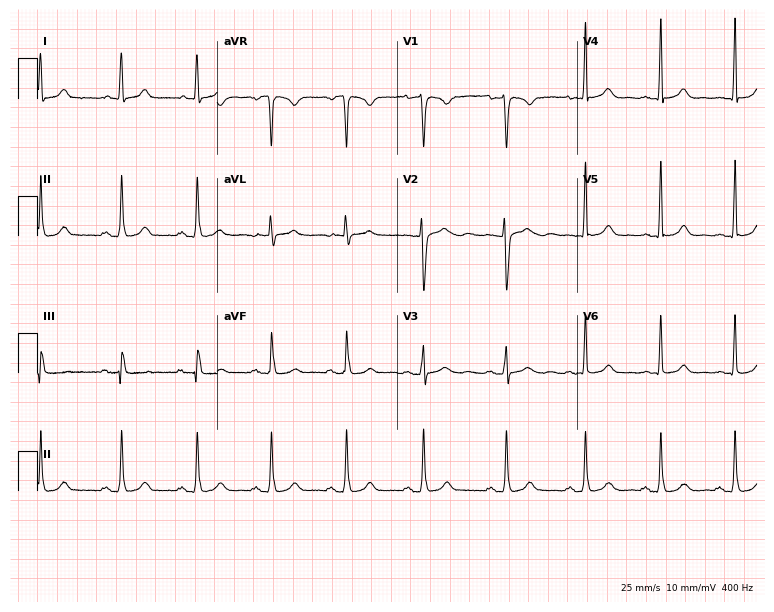
Standard 12-lead ECG recorded from a 29-year-old female patient. Read as a normal ECG.